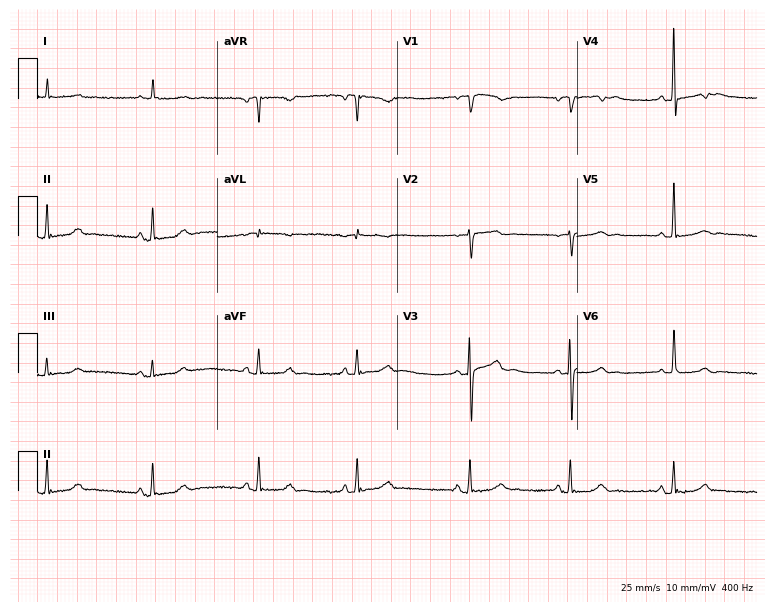
12-lead ECG (7.3-second recording at 400 Hz) from an 84-year-old female patient. Screened for six findings — first-degree AV block, right bundle branch block, left bundle branch block, sinus bradycardia, atrial fibrillation, sinus tachycardia — none is recorded.